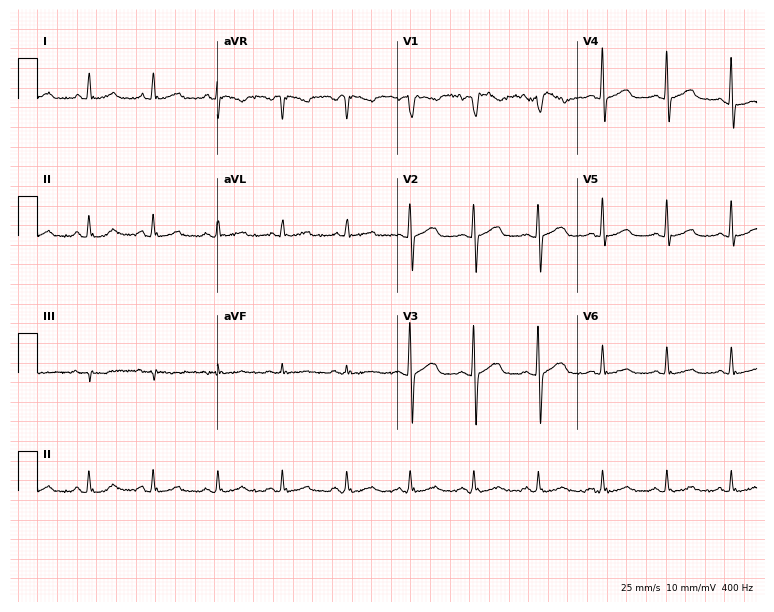
12-lead ECG from a 37-year-old female. Screened for six findings — first-degree AV block, right bundle branch block, left bundle branch block, sinus bradycardia, atrial fibrillation, sinus tachycardia — none is recorded. Only these six findings were labelled.